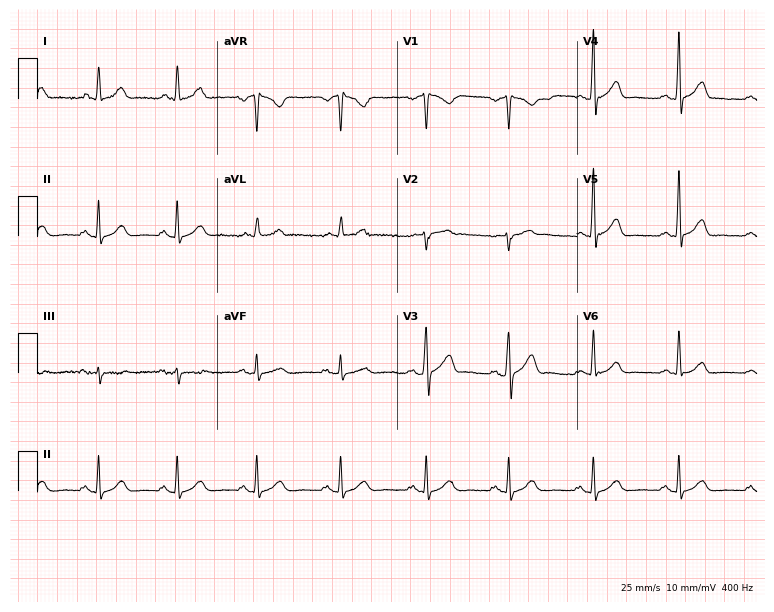
ECG — a 39-year-old man. Labelled as a normal ECG.